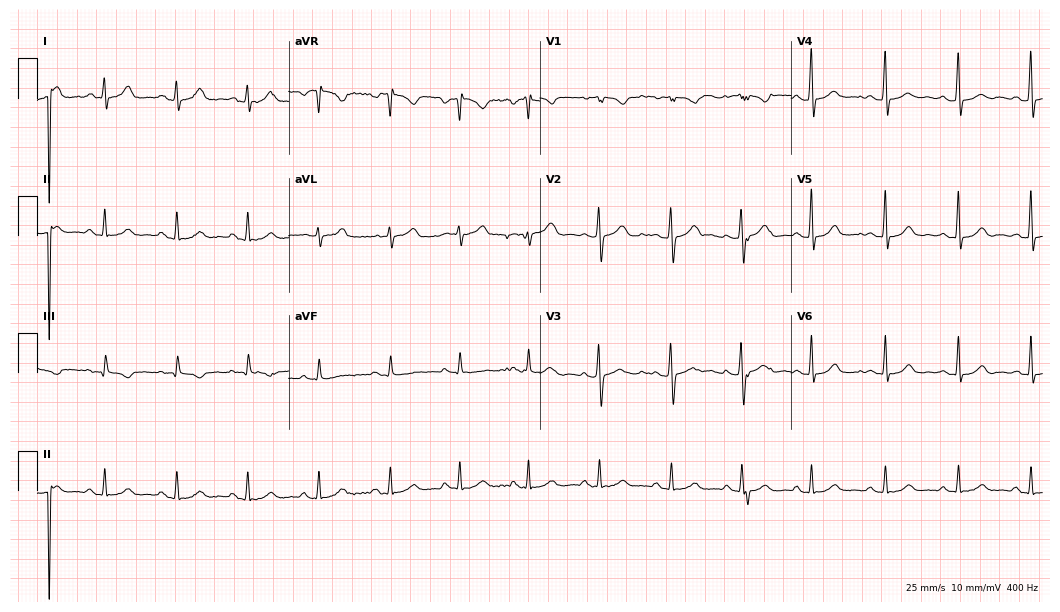
12-lead ECG from a 24-year-old female. Labelled as a normal ECG.